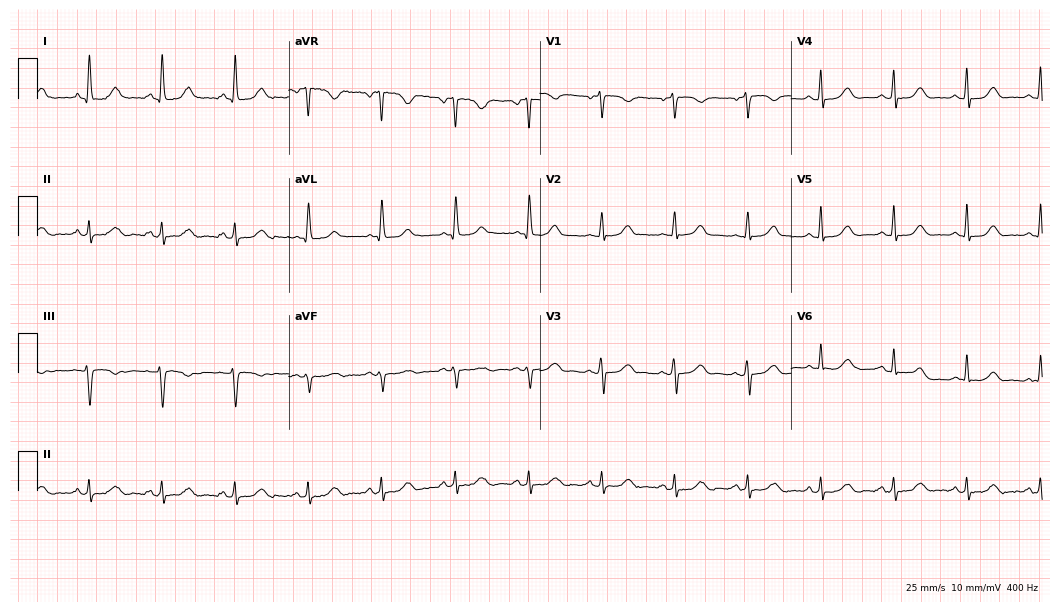
Resting 12-lead electrocardiogram (10.2-second recording at 400 Hz). Patient: a female, 74 years old. Read as a normal ECG.